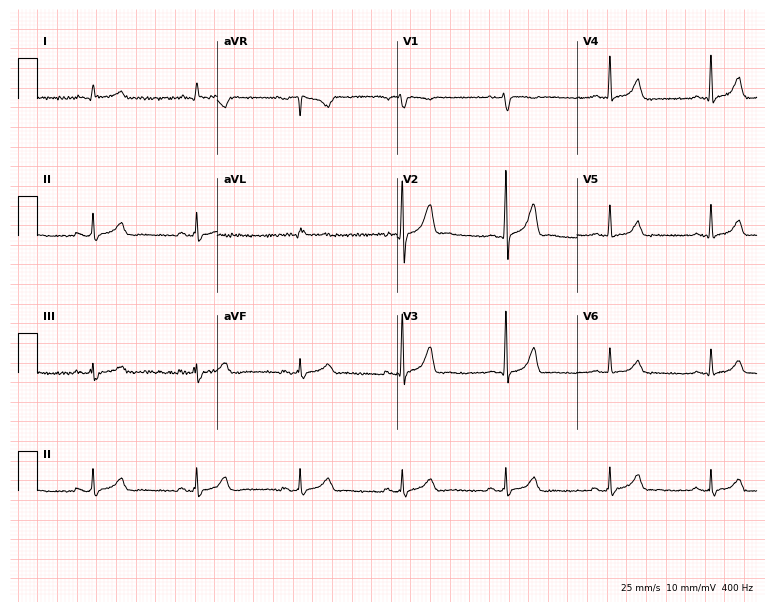
12-lead ECG from a 45-year-old male patient. No first-degree AV block, right bundle branch block, left bundle branch block, sinus bradycardia, atrial fibrillation or sinus tachycardia recorded for this tracing.